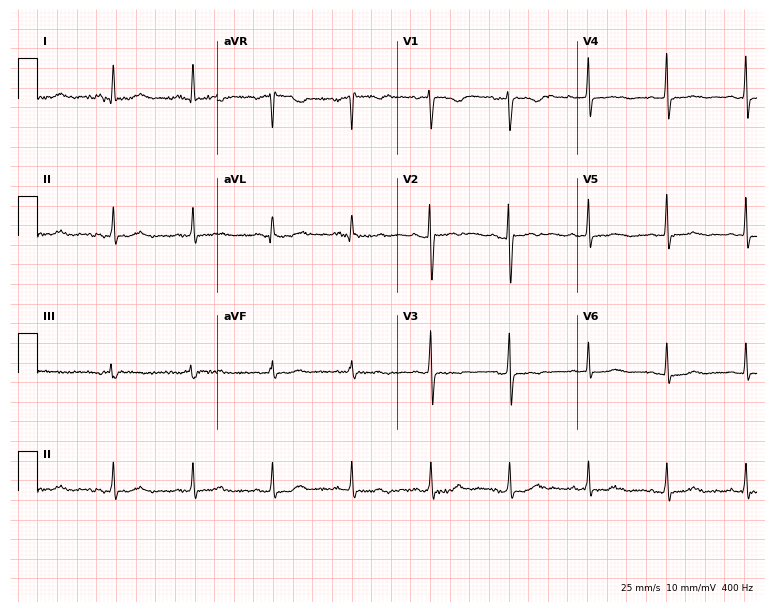
12-lead ECG from a 42-year-old woman. No first-degree AV block, right bundle branch block, left bundle branch block, sinus bradycardia, atrial fibrillation or sinus tachycardia recorded for this tracing.